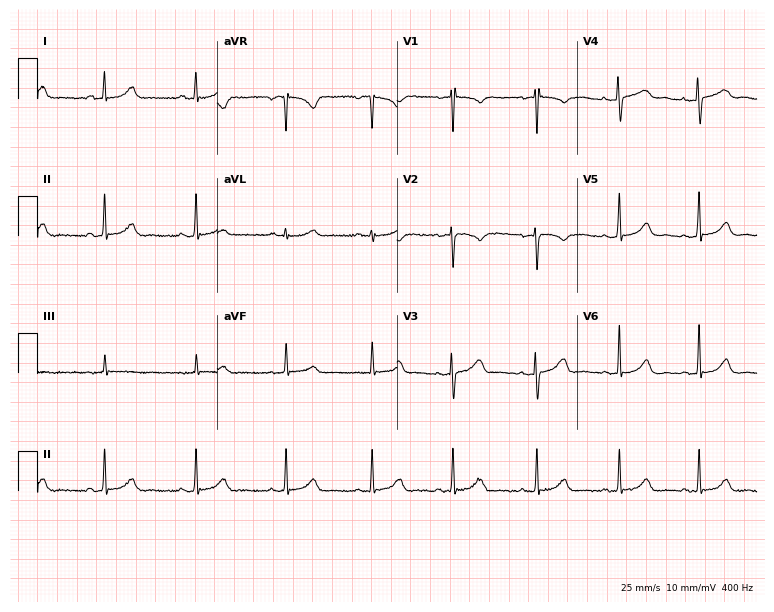
12-lead ECG from a 23-year-old female patient. Recorded interpretation: within normal limits.